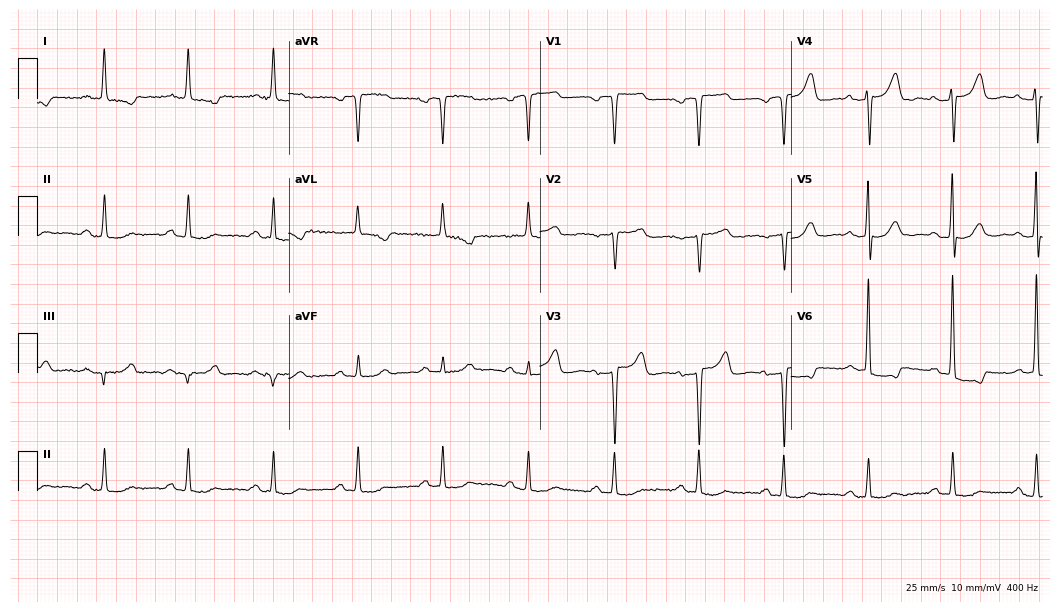
12-lead ECG from an 85-year-old female patient. No first-degree AV block, right bundle branch block, left bundle branch block, sinus bradycardia, atrial fibrillation or sinus tachycardia recorded for this tracing. Findings outside these six are not listed.